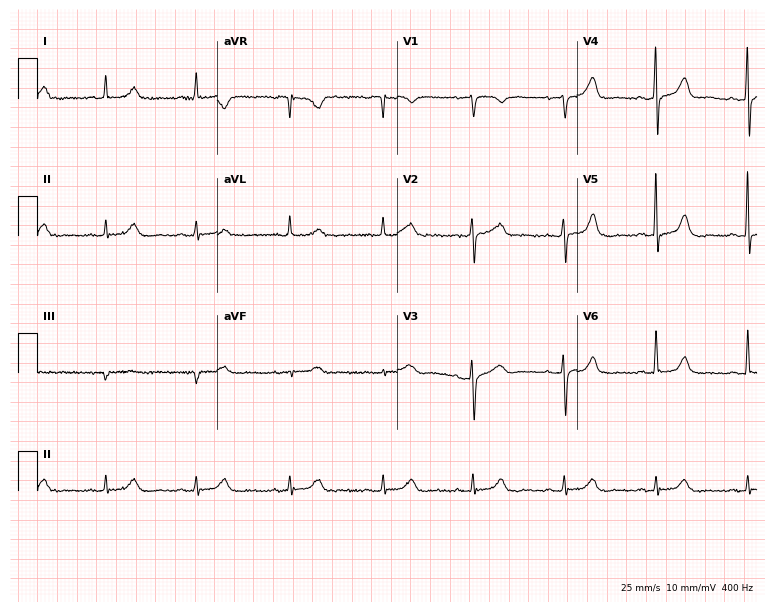
12-lead ECG from a female patient, 67 years old. Labelled as a normal ECG.